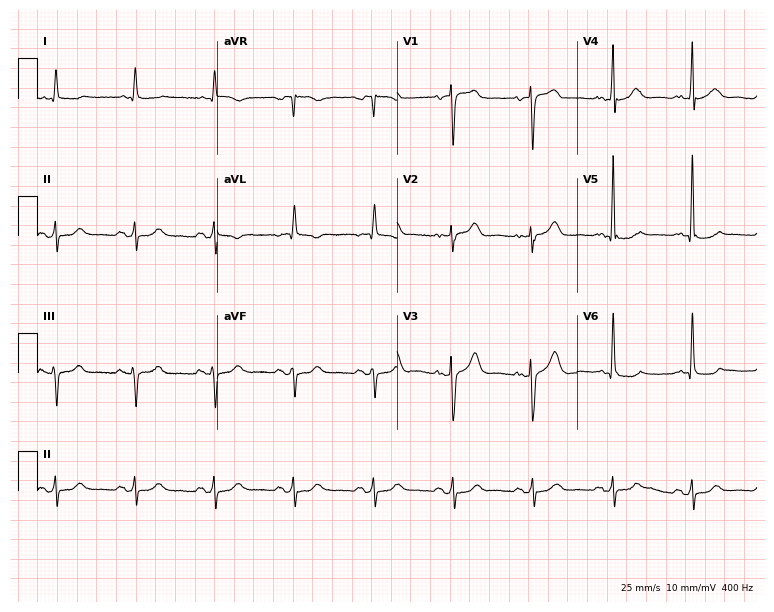
Standard 12-lead ECG recorded from an 81-year-old female patient (7.3-second recording at 400 Hz). None of these six findings is recorded: first-degree AV block, right bundle branch block, left bundle branch block, sinus bradycardia, atrial fibrillation, sinus tachycardia.